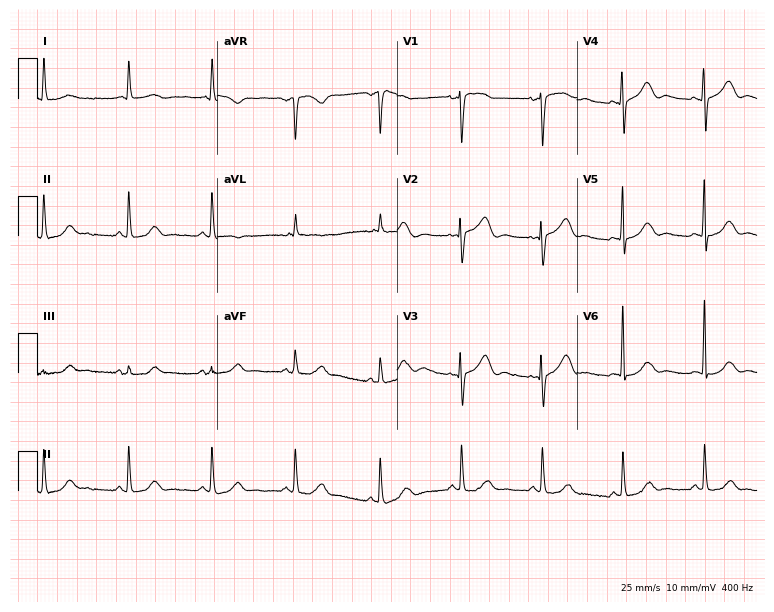
ECG — a 79-year-old woman. Labelled as a normal ECG.